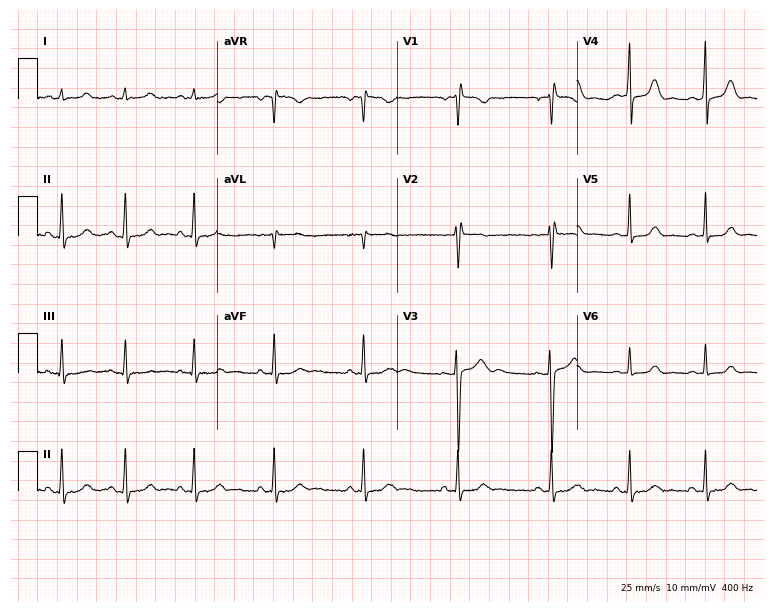
ECG (7.3-second recording at 400 Hz) — a female patient, 20 years old. Screened for six findings — first-degree AV block, right bundle branch block (RBBB), left bundle branch block (LBBB), sinus bradycardia, atrial fibrillation (AF), sinus tachycardia — none is recorded. Findings outside these six are not listed.